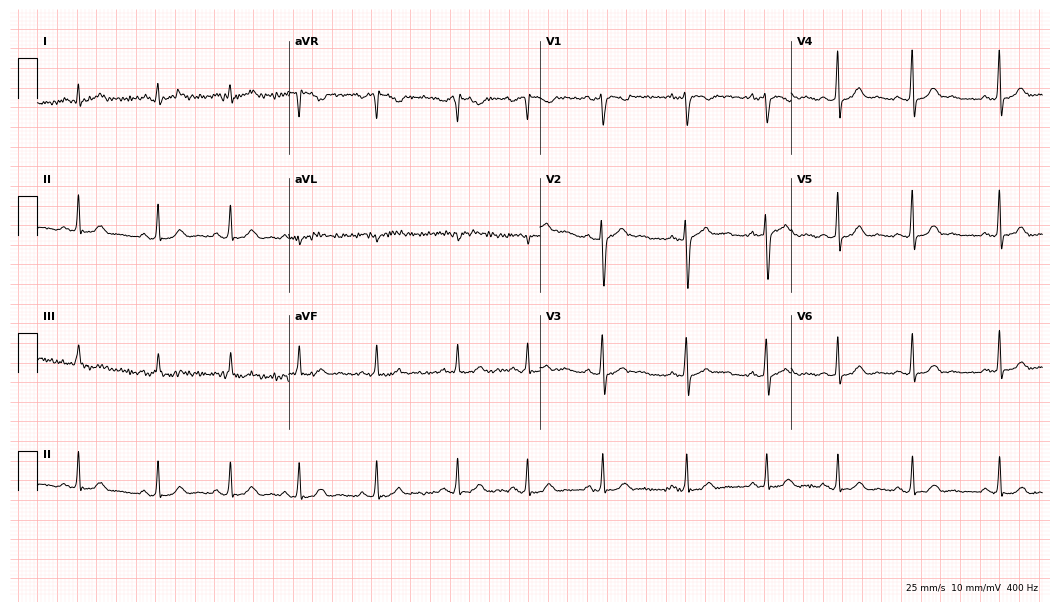
ECG (10.2-second recording at 400 Hz) — a female patient, 23 years old. Labelled as a normal ECG.